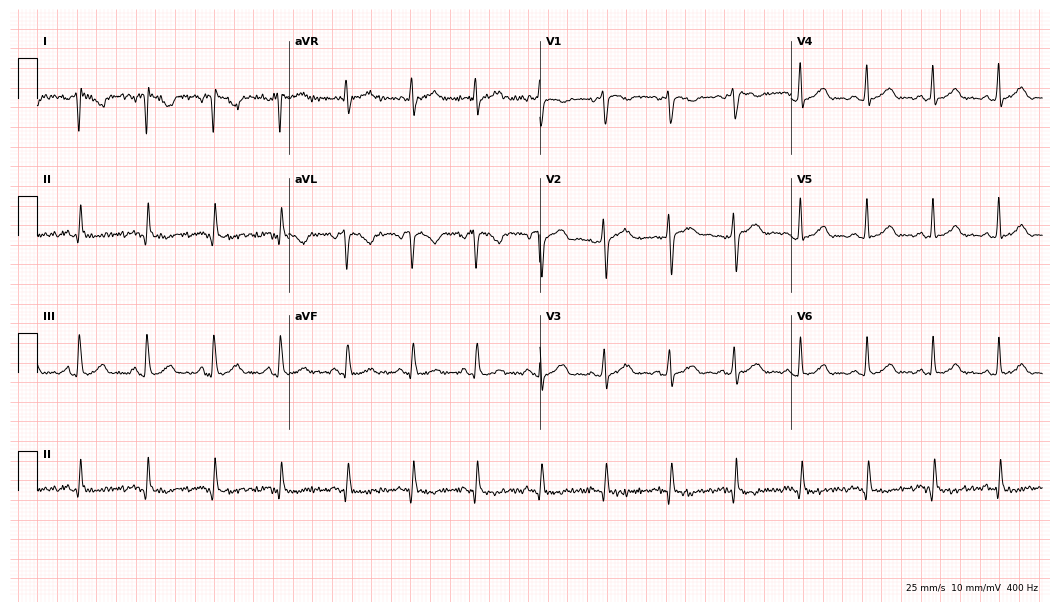
Resting 12-lead electrocardiogram (10.2-second recording at 400 Hz). Patient: a female, 36 years old. None of these six findings is recorded: first-degree AV block, right bundle branch block, left bundle branch block, sinus bradycardia, atrial fibrillation, sinus tachycardia. Findings outside these six are not listed.